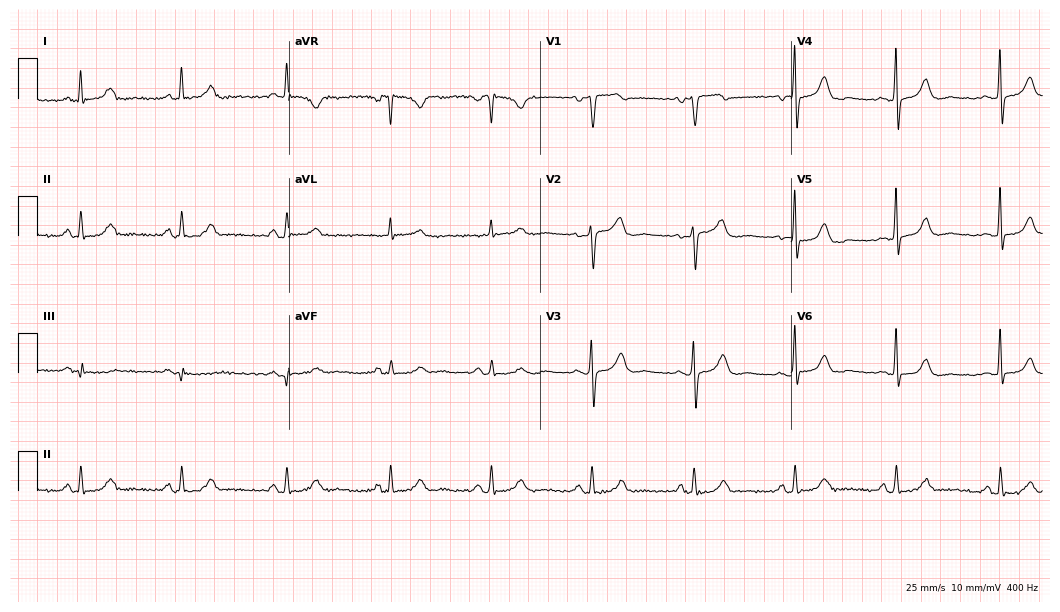
ECG (10.2-second recording at 400 Hz) — a woman, 59 years old. Labelled as a normal ECG.